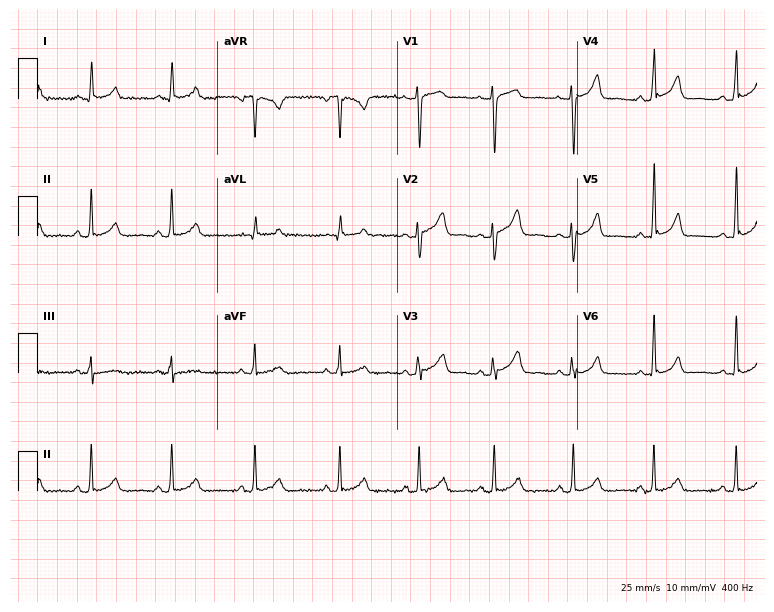
Electrocardiogram, a female patient, 30 years old. Overall reading on record: normal ECG.